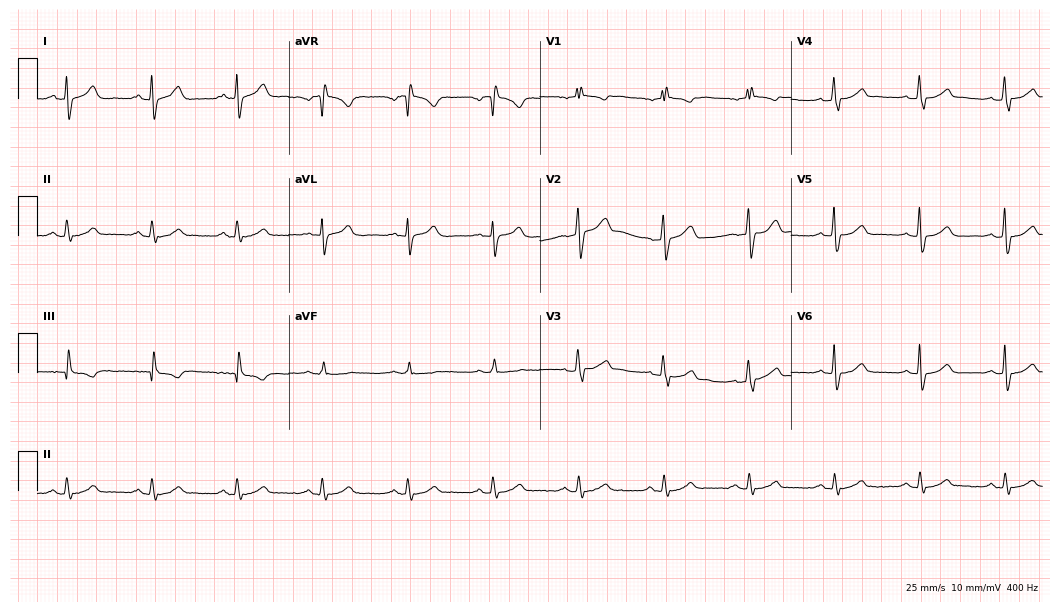
Resting 12-lead electrocardiogram (10.2-second recording at 400 Hz). Patient: a man, 42 years old. None of these six findings is recorded: first-degree AV block, right bundle branch block, left bundle branch block, sinus bradycardia, atrial fibrillation, sinus tachycardia.